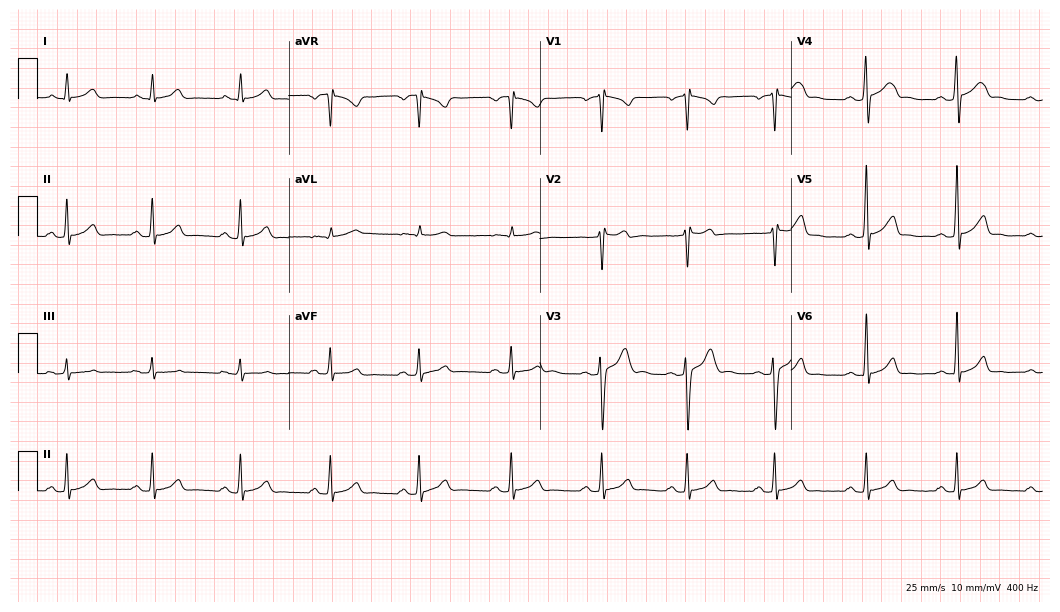
Electrocardiogram (10.2-second recording at 400 Hz), a 20-year-old man. Of the six screened findings (first-degree AV block, right bundle branch block (RBBB), left bundle branch block (LBBB), sinus bradycardia, atrial fibrillation (AF), sinus tachycardia), none is recorded. Other findings, if any, are not listed.